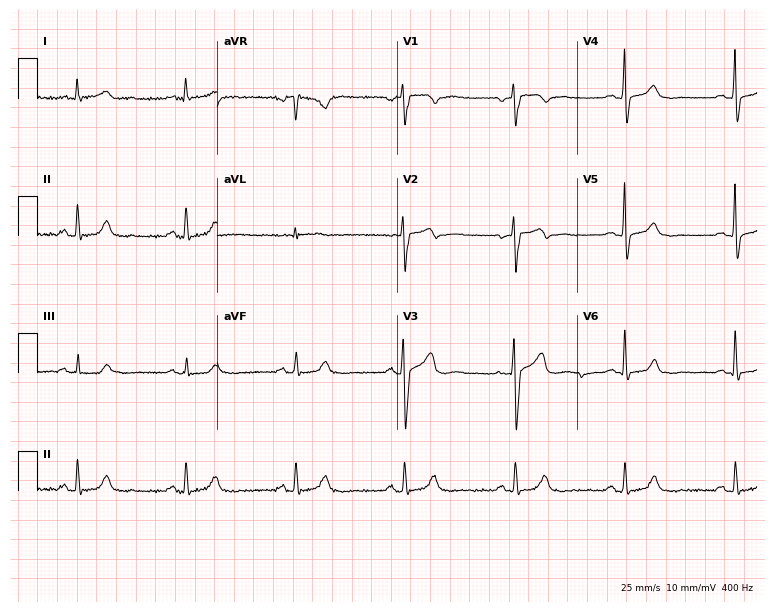
12-lead ECG from a man, 60 years old. Labelled as a normal ECG.